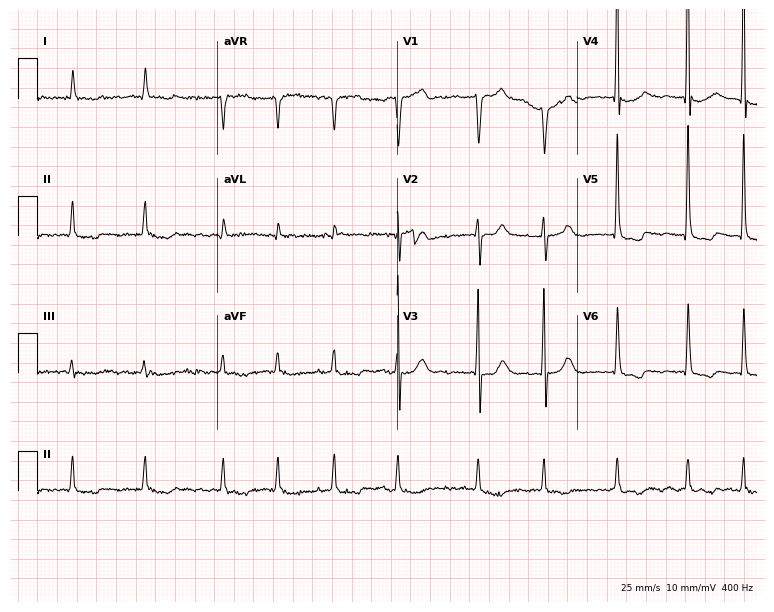
12-lead ECG from a man, 74 years old. Screened for six findings — first-degree AV block, right bundle branch block, left bundle branch block, sinus bradycardia, atrial fibrillation, sinus tachycardia — none is recorded. Findings outside these six are not listed.